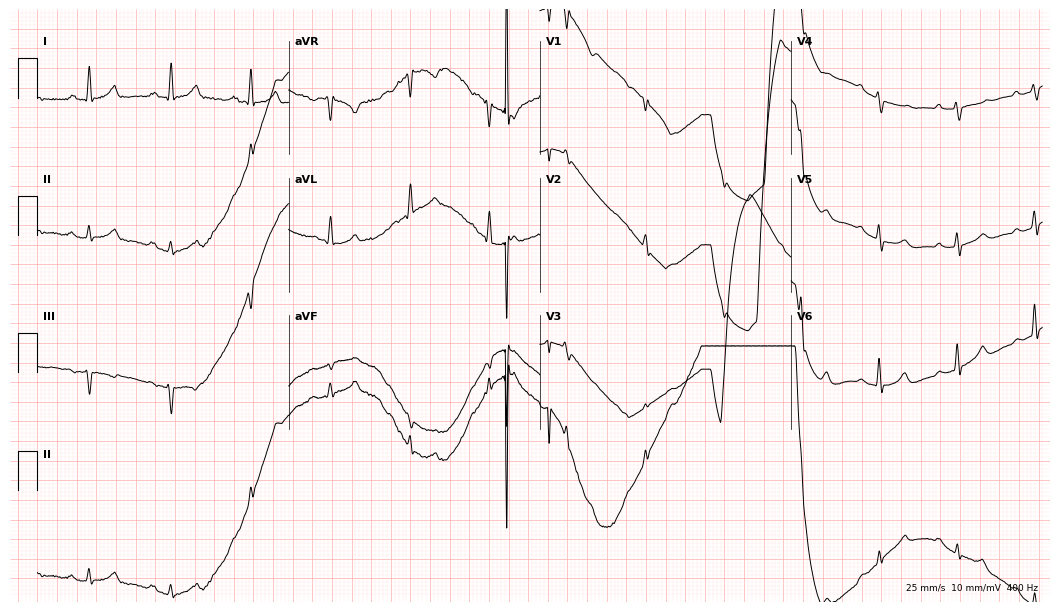
Resting 12-lead electrocardiogram. Patient: an 83-year-old female. Read as a normal ECG.